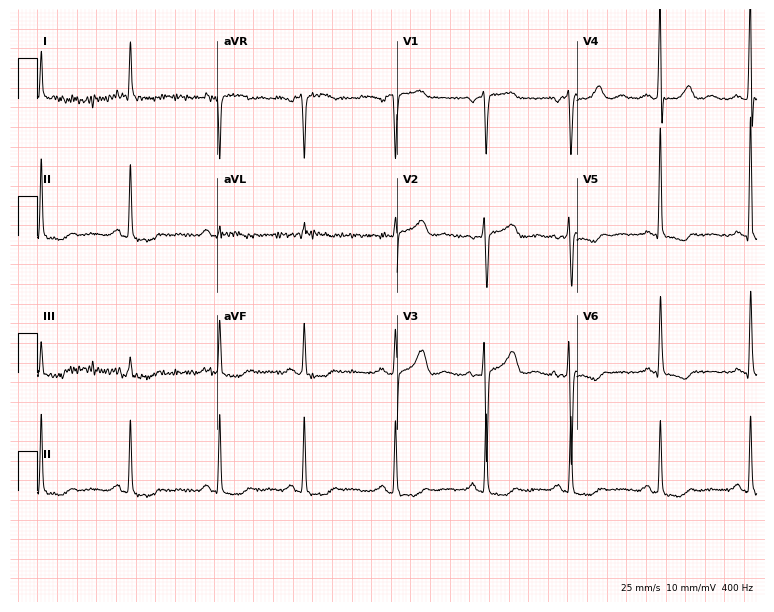
12-lead ECG (7.3-second recording at 400 Hz) from a 49-year-old female patient. Screened for six findings — first-degree AV block, right bundle branch block, left bundle branch block, sinus bradycardia, atrial fibrillation, sinus tachycardia — none is recorded.